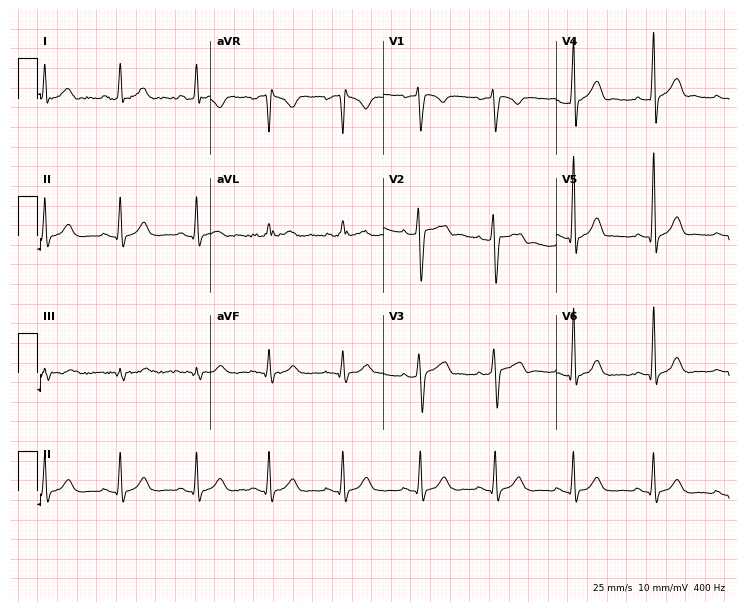
Standard 12-lead ECG recorded from a 26-year-old male (7.1-second recording at 400 Hz). None of these six findings is recorded: first-degree AV block, right bundle branch block (RBBB), left bundle branch block (LBBB), sinus bradycardia, atrial fibrillation (AF), sinus tachycardia.